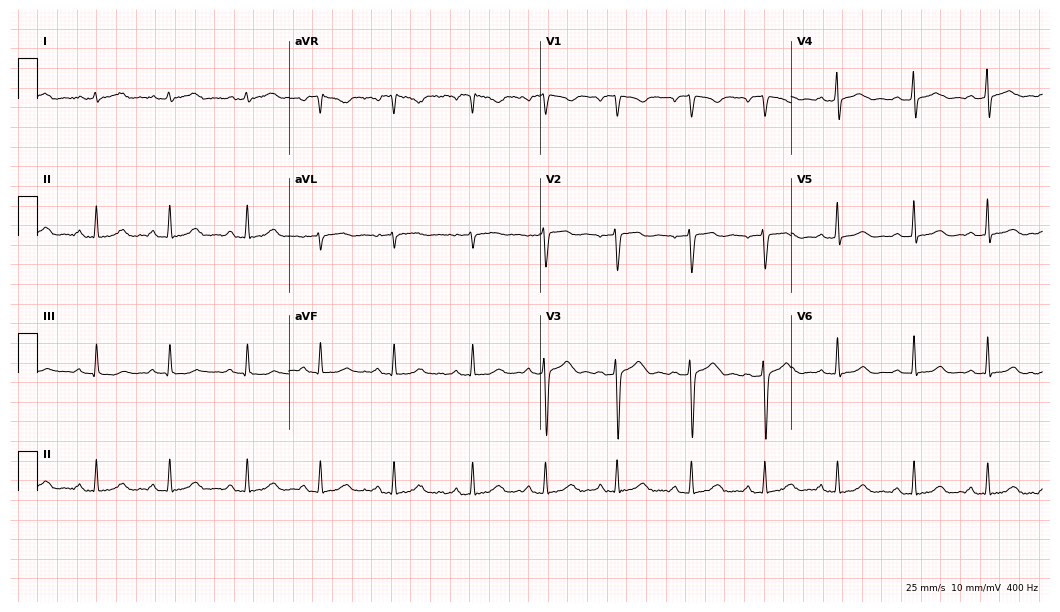
Standard 12-lead ECG recorded from a female patient, 28 years old. Read as a normal ECG.